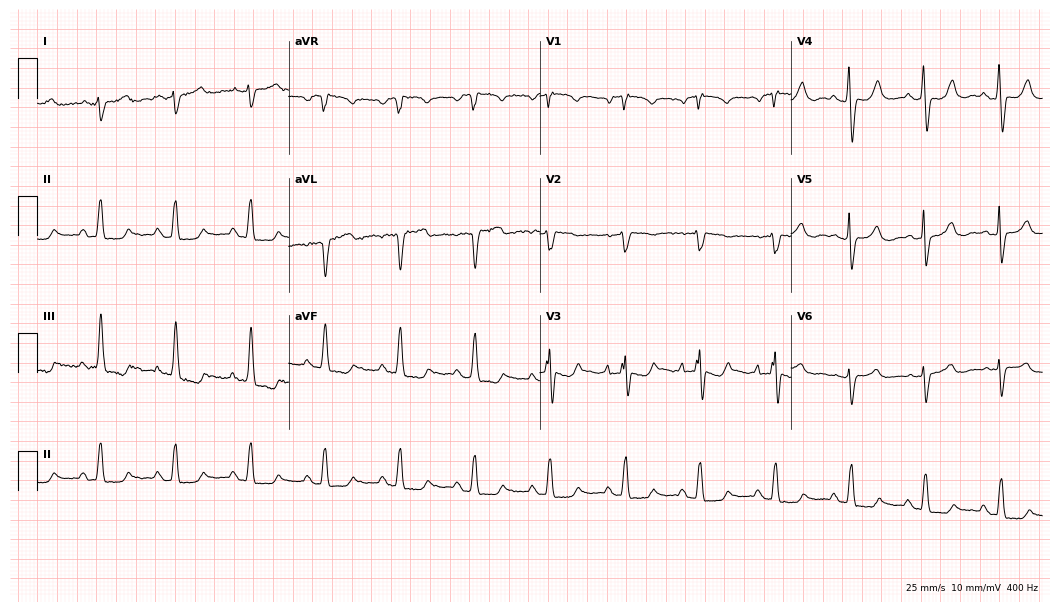
Standard 12-lead ECG recorded from a 75-year-old female. None of these six findings is recorded: first-degree AV block, right bundle branch block, left bundle branch block, sinus bradycardia, atrial fibrillation, sinus tachycardia.